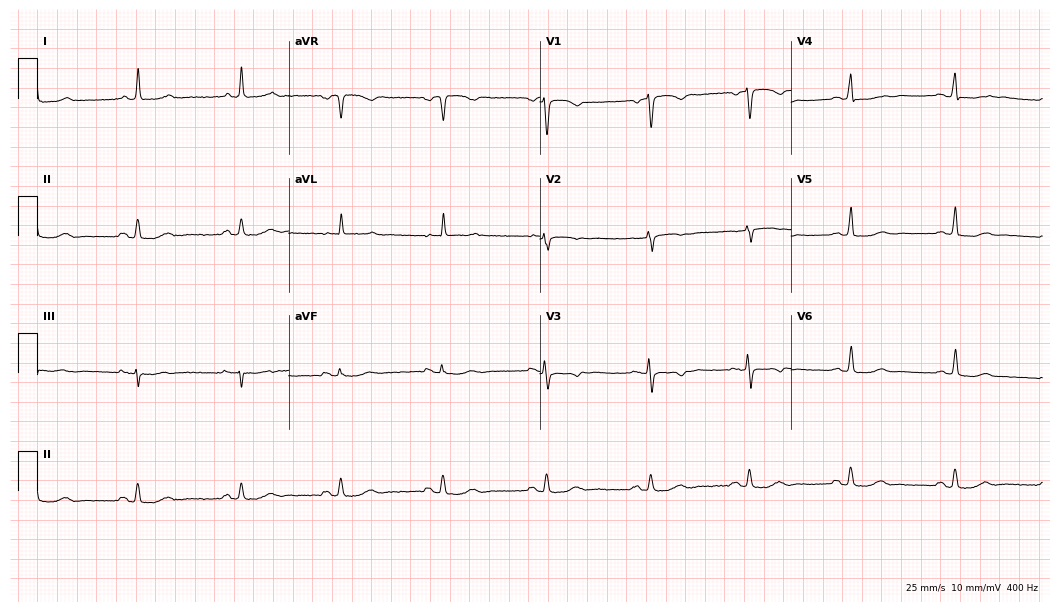
12-lead ECG (10.2-second recording at 400 Hz) from a female, 66 years old. Screened for six findings — first-degree AV block, right bundle branch block, left bundle branch block, sinus bradycardia, atrial fibrillation, sinus tachycardia — none is recorded. Only these six findings were labelled.